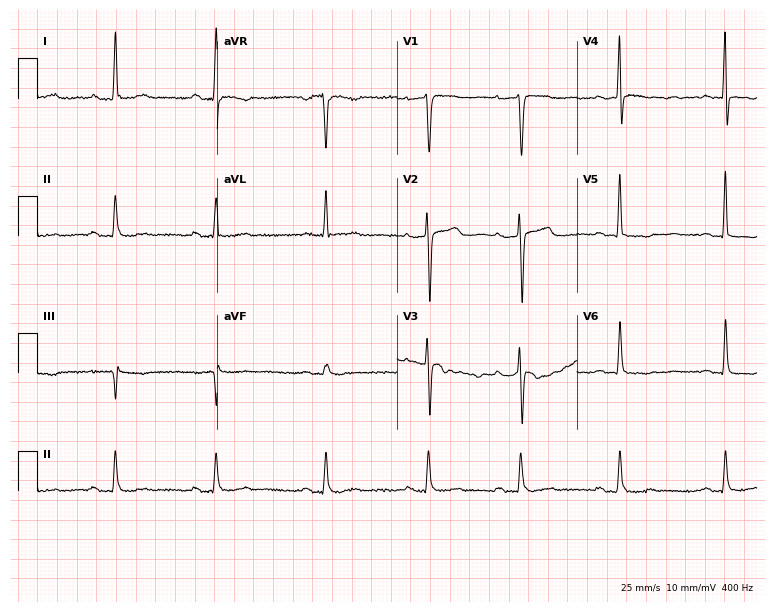
ECG (7.3-second recording at 400 Hz) — a 52-year-old female patient. Labelled as a normal ECG.